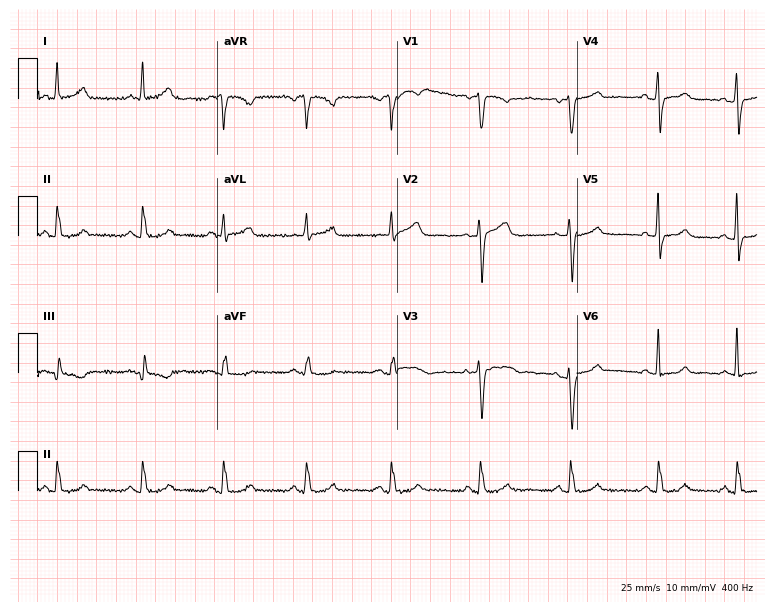
12-lead ECG from a woman, 57 years old (7.3-second recording at 400 Hz). No first-degree AV block, right bundle branch block (RBBB), left bundle branch block (LBBB), sinus bradycardia, atrial fibrillation (AF) or sinus tachycardia recorded for this tracing. Findings outside these six are not listed.